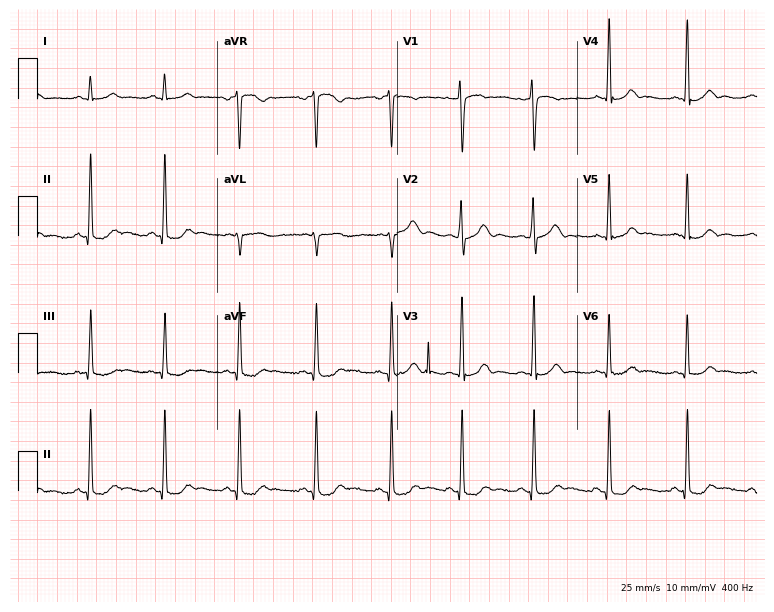
ECG (7.3-second recording at 400 Hz) — a 17-year-old woman. Labelled as a normal ECG.